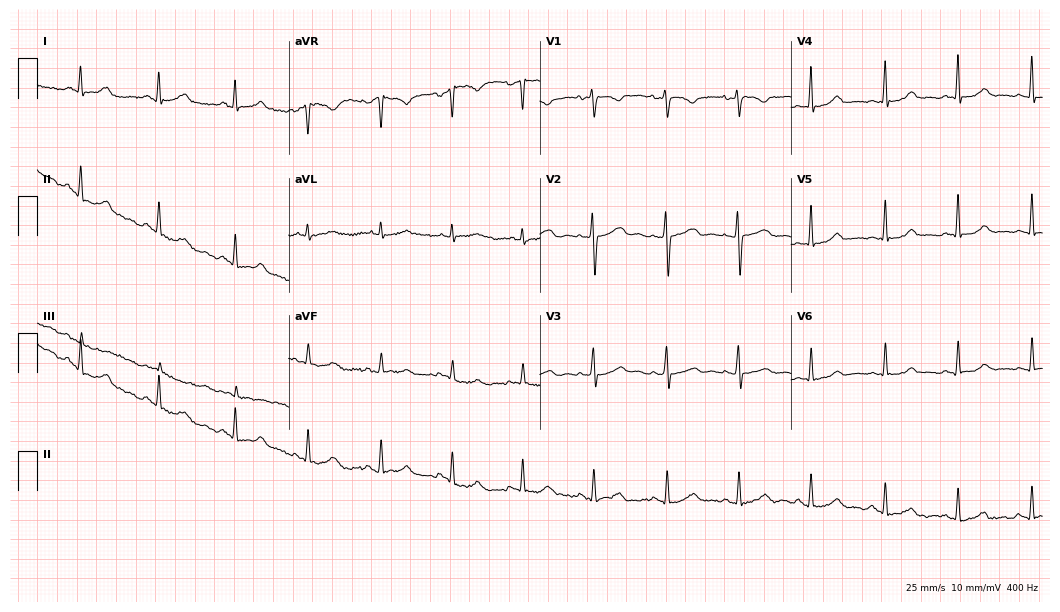
Electrocardiogram, a woman, 36 years old. Overall reading on record: normal ECG.